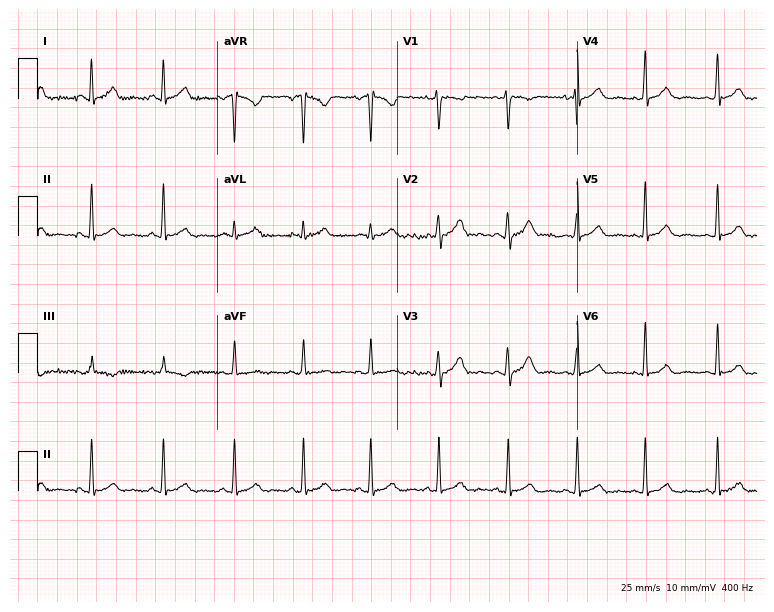
12-lead ECG from a 28-year-old woman. Recorded interpretation: within normal limits.